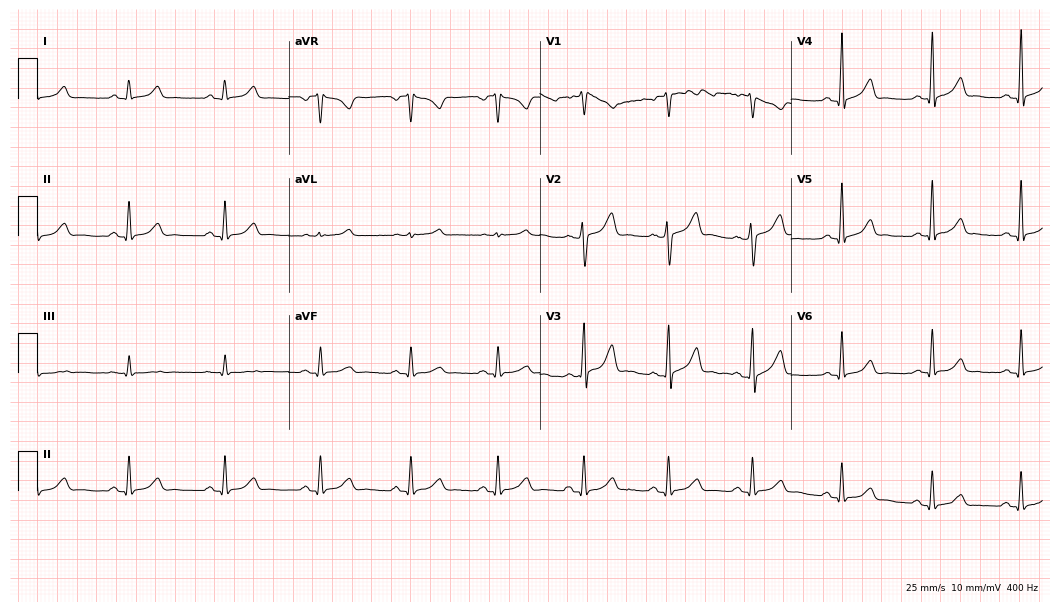
12-lead ECG from a 52-year-old male. Recorded interpretation: within normal limits.